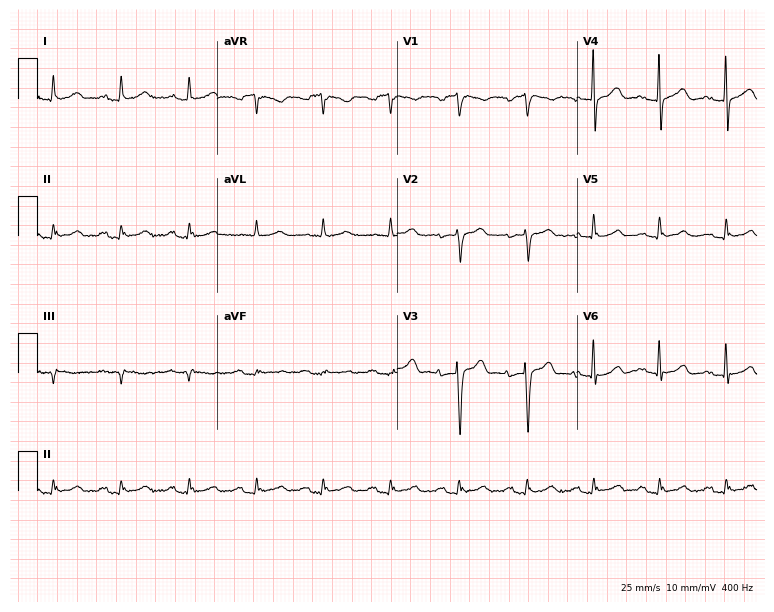
ECG (7.3-second recording at 400 Hz) — a 69-year-old male. Screened for six findings — first-degree AV block, right bundle branch block, left bundle branch block, sinus bradycardia, atrial fibrillation, sinus tachycardia — none is recorded.